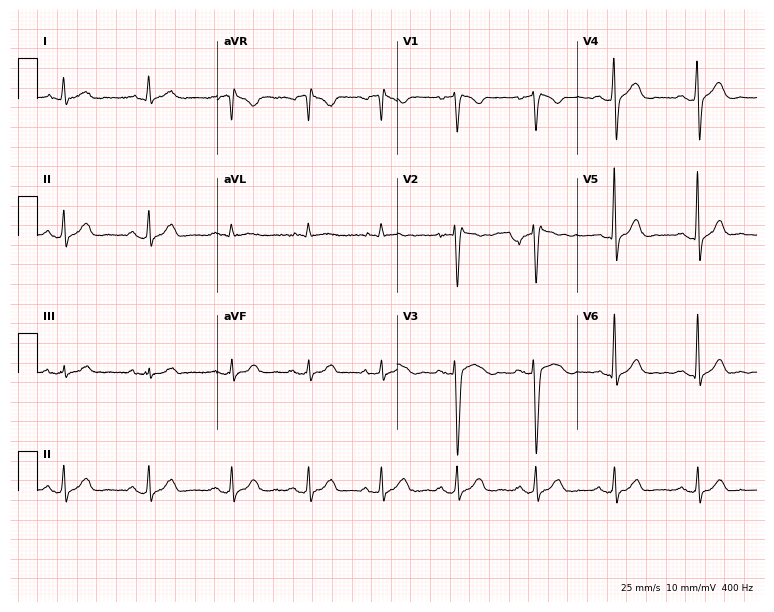
Standard 12-lead ECG recorded from a 29-year-old man. None of these six findings is recorded: first-degree AV block, right bundle branch block, left bundle branch block, sinus bradycardia, atrial fibrillation, sinus tachycardia.